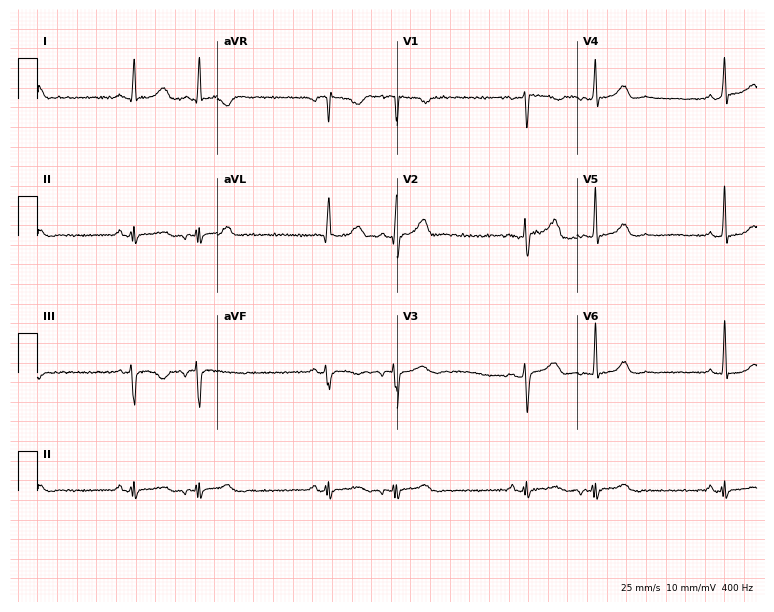
ECG (7.3-second recording at 400 Hz) — a female, 46 years old. Screened for six findings — first-degree AV block, right bundle branch block (RBBB), left bundle branch block (LBBB), sinus bradycardia, atrial fibrillation (AF), sinus tachycardia — none is recorded. Only these six findings were labelled.